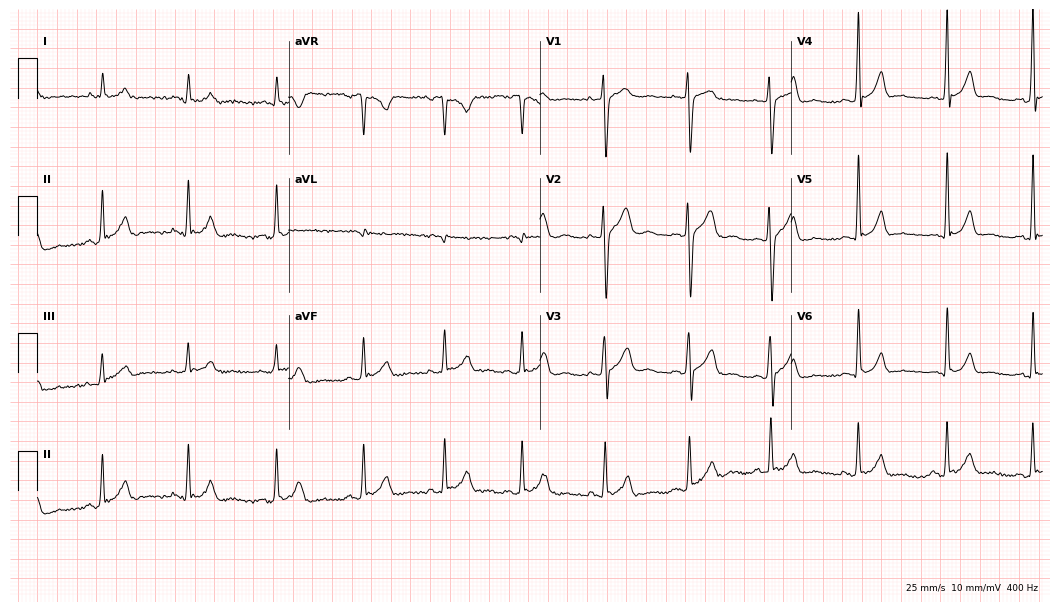
12-lead ECG from a male, 19 years old. Recorded interpretation: within normal limits.